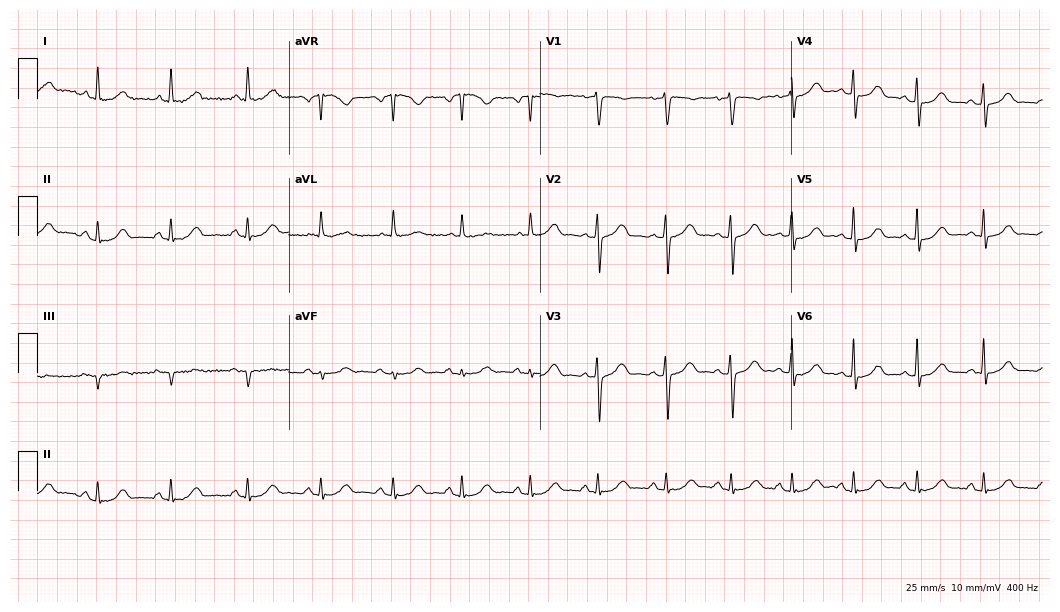
Electrocardiogram, a 53-year-old woman. Overall reading on record: normal ECG.